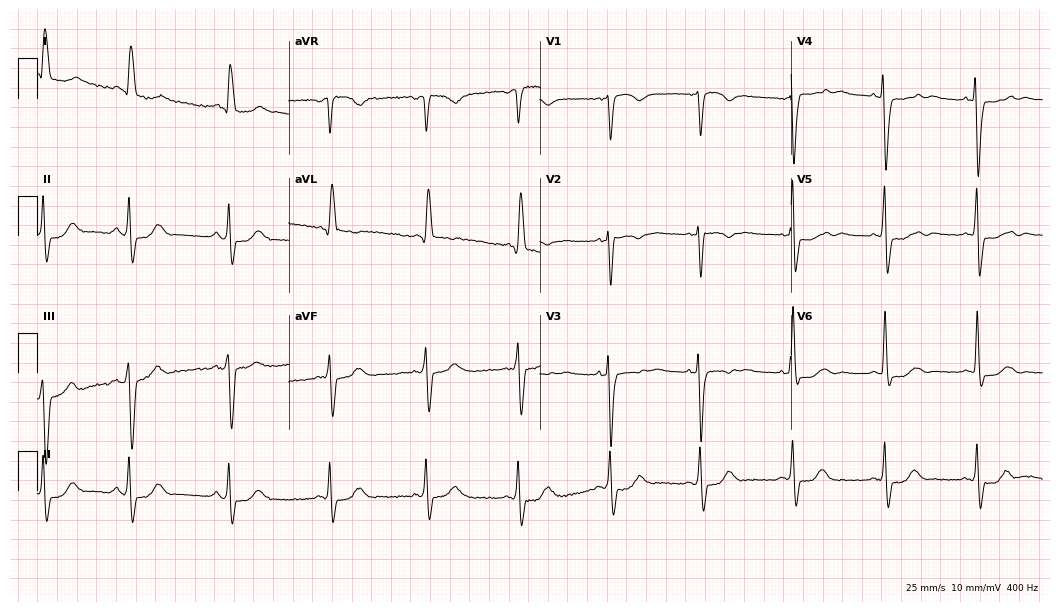
12-lead ECG from a female, 78 years old (10.2-second recording at 400 Hz). No first-degree AV block, right bundle branch block (RBBB), left bundle branch block (LBBB), sinus bradycardia, atrial fibrillation (AF) or sinus tachycardia recorded for this tracing. Findings outside these six are not listed.